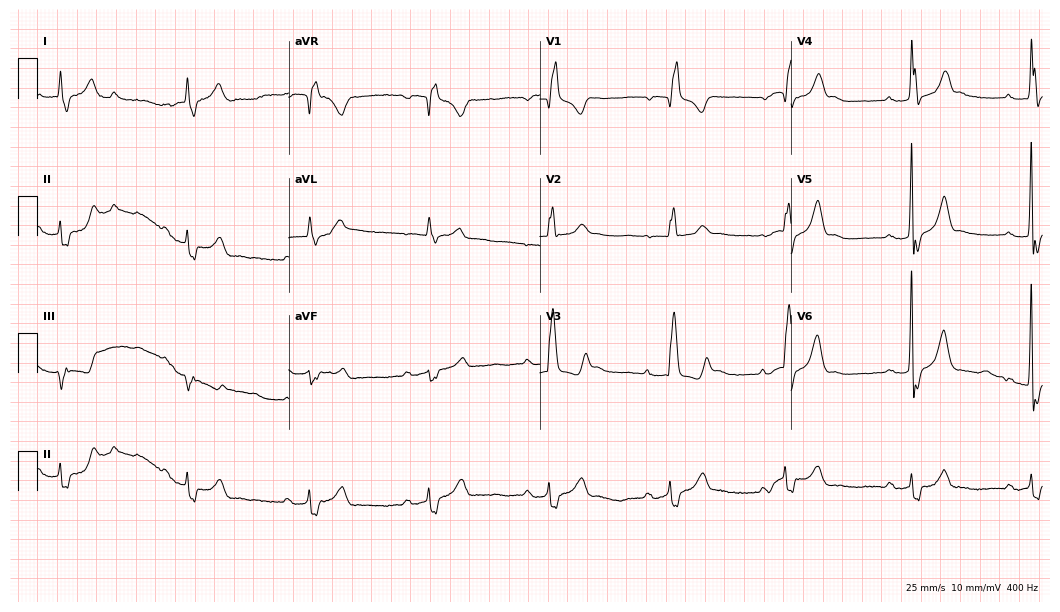
ECG (10.2-second recording at 400 Hz) — a male patient, 71 years old. Screened for six findings — first-degree AV block, right bundle branch block, left bundle branch block, sinus bradycardia, atrial fibrillation, sinus tachycardia — none is recorded. Only these six findings were labelled.